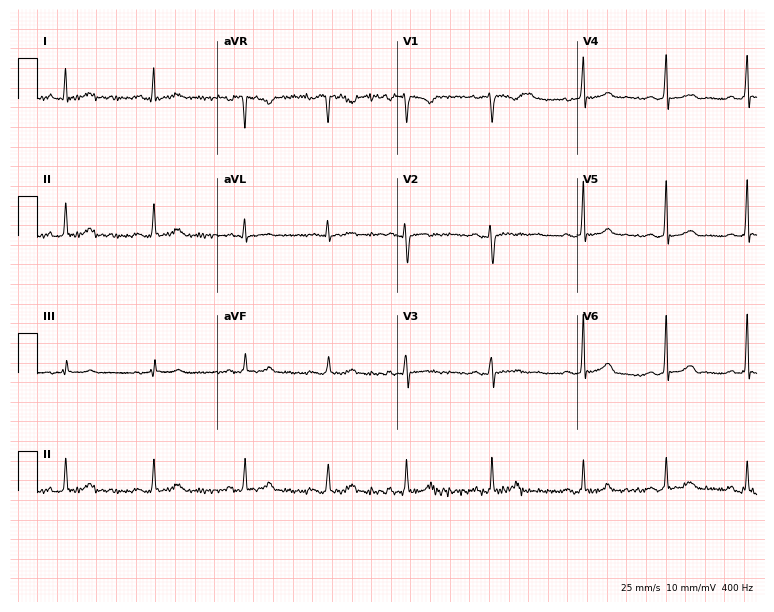
12-lead ECG from a 25-year-old woman. Recorded interpretation: within normal limits.